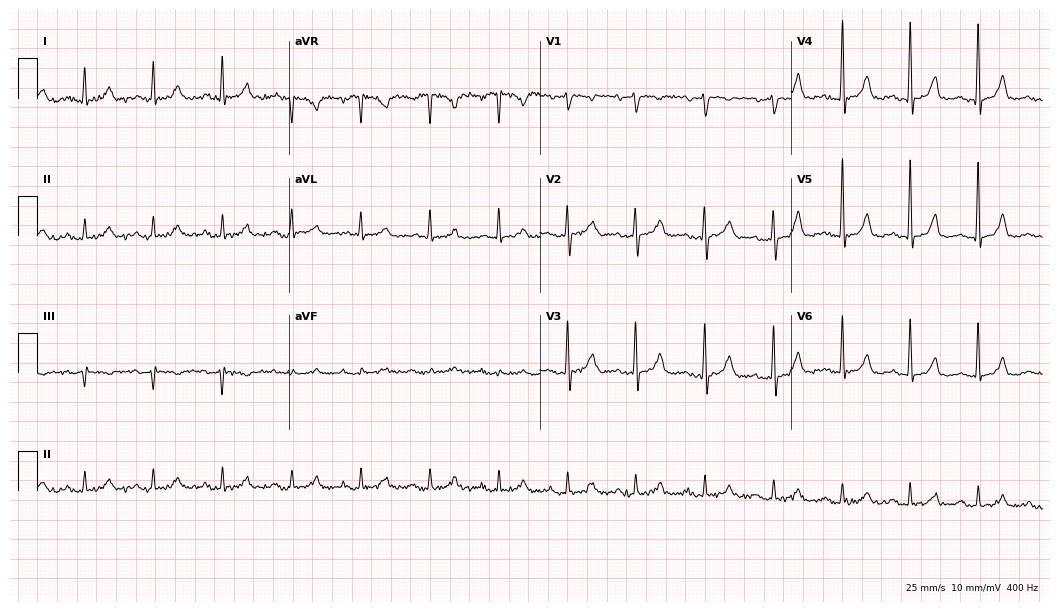
Standard 12-lead ECG recorded from a man, 69 years old (10.2-second recording at 400 Hz). None of these six findings is recorded: first-degree AV block, right bundle branch block, left bundle branch block, sinus bradycardia, atrial fibrillation, sinus tachycardia.